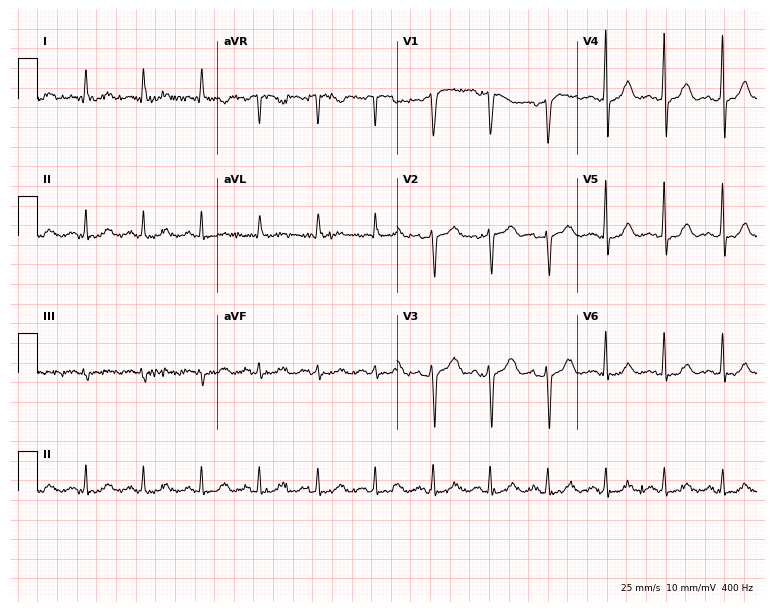
12-lead ECG from a male patient, 50 years old. Screened for six findings — first-degree AV block, right bundle branch block, left bundle branch block, sinus bradycardia, atrial fibrillation, sinus tachycardia — none is recorded.